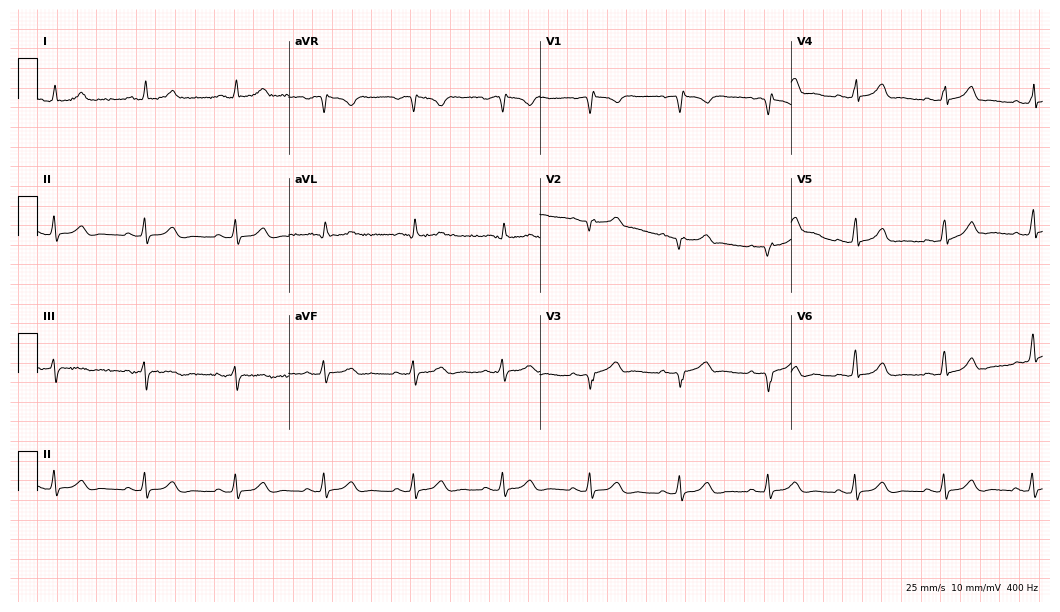
Standard 12-lead ECG recorded from a male, 54 years old. None of these six findings is recorded: first-degree AV block, right bundle branch block, left bundle branch block, sinus bradycardia, atrial fibrillation, sinus tachycardia.